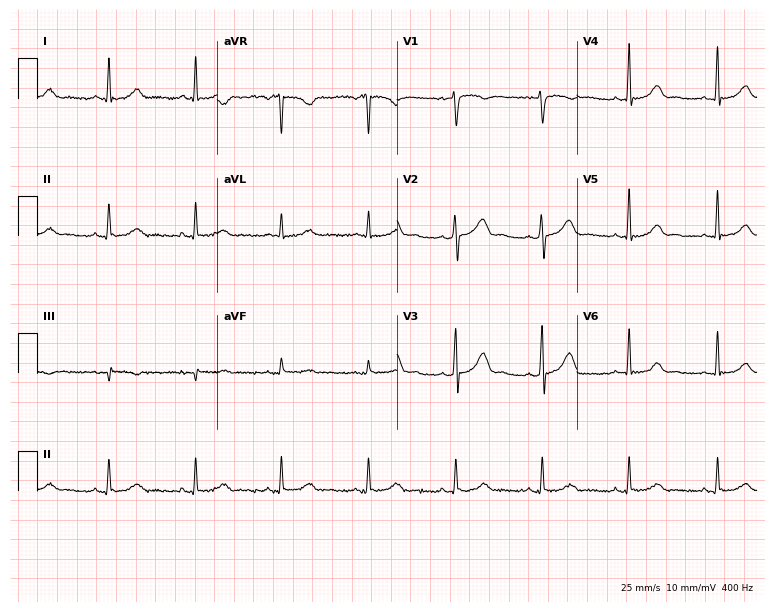
Standard 12-lead ECG recorded from a 49-year-old woman. Read as a normal ECG.